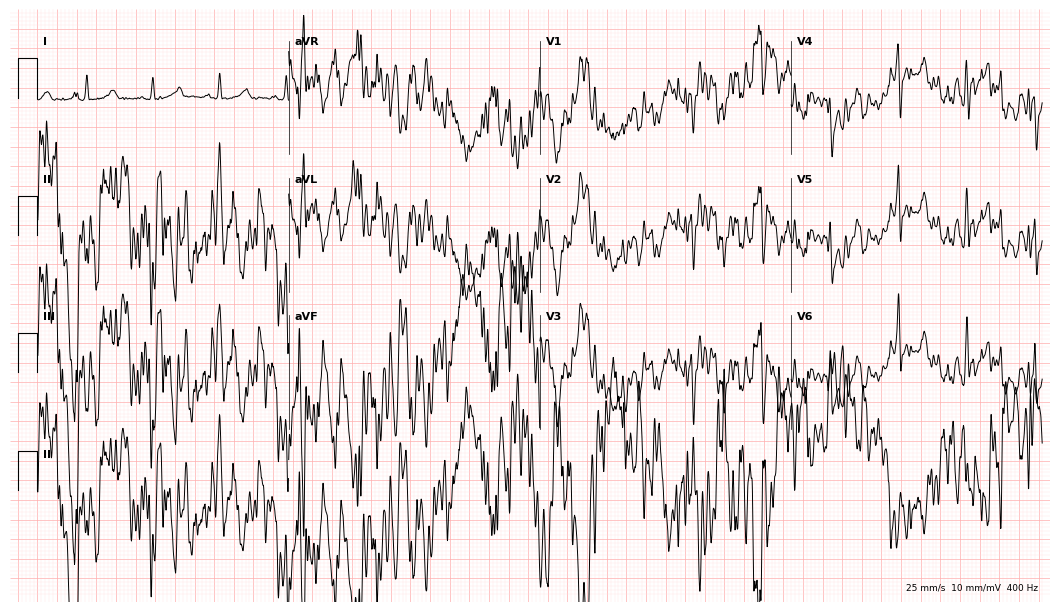
12-lead ECG (10.2-second recording at 400 Hz) from a woman, 54 years old. Screened for six findings — first-degree AV block, right bundle branch block, left bundle branch block, sinus bradycardia, atrial fibrillation, sinus tachycardia — none is recorded. Only these six findings were labelled.